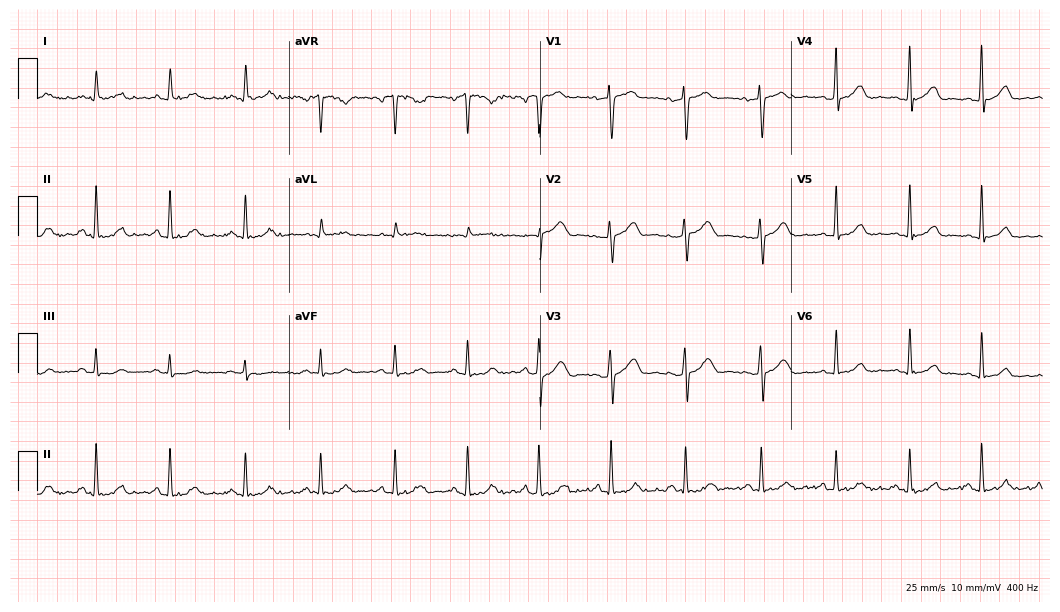
12-lead ECG from a 37-year-old woman (10.2-second recording at 400 Hz). Recorded interpretation: within normal limits.